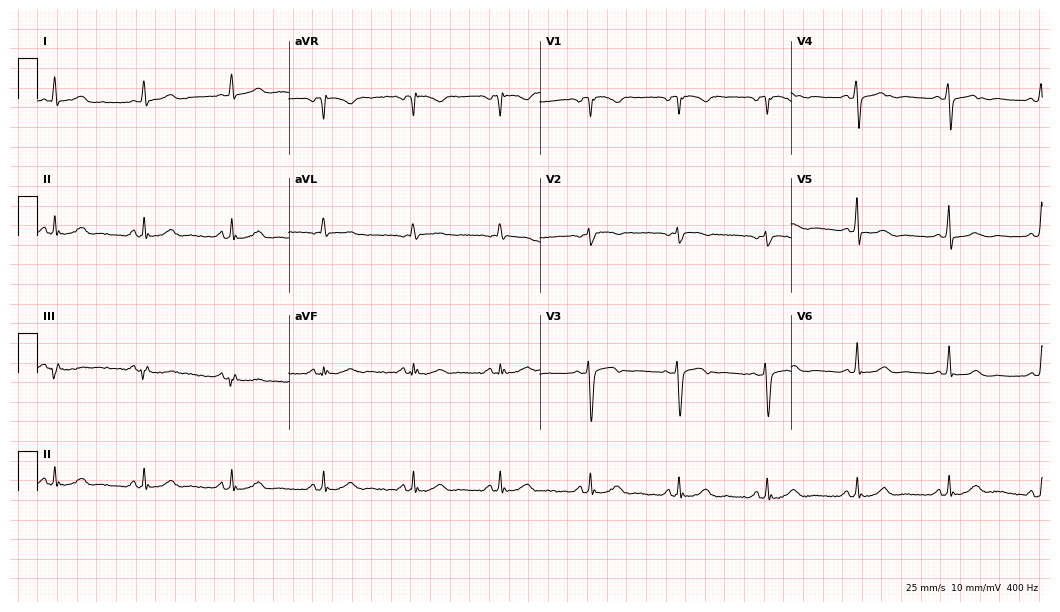
ECG — a female, 54 years old. Screened for six findings — first-degree AV block, right bundle branch block (RBBB), left bundle branch block (LBBB), sinus bradycardia, atrial fibrillation (AF), sinus tachycardia — none is recorded.